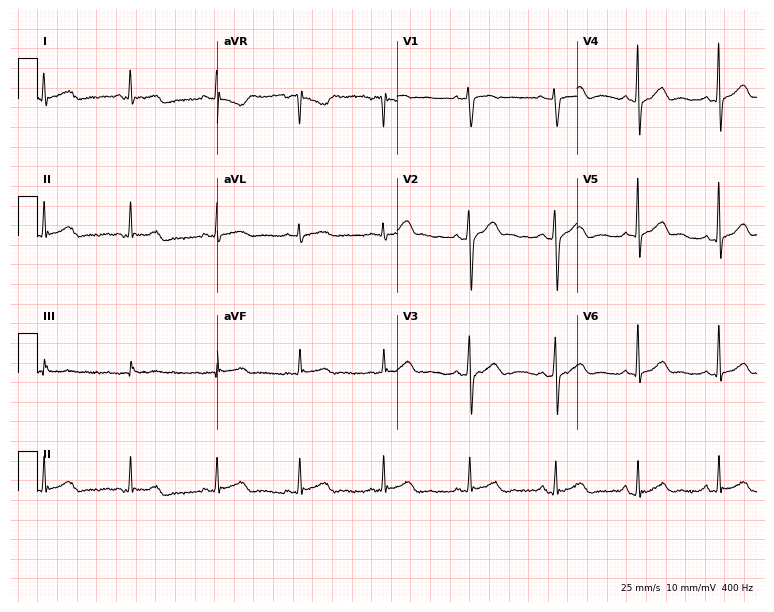
Resting 12-lead electrocardiogram (7.3-second recording at 400 Hz). Patient: a 41-year-old female. Read as a normal ECG.